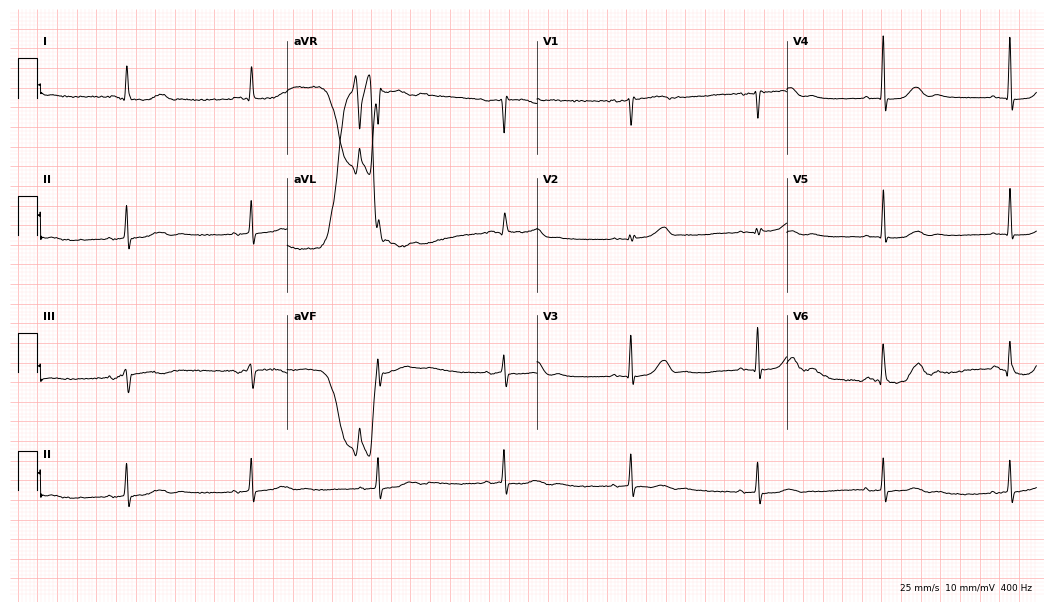
12-lead ECG from an 84-year-old female patient (10.2-second recording at 400 Hz). Shows sinus bradycardia (a sinus rate of 50 beats per minute or less), atrial fibrillation (AF).